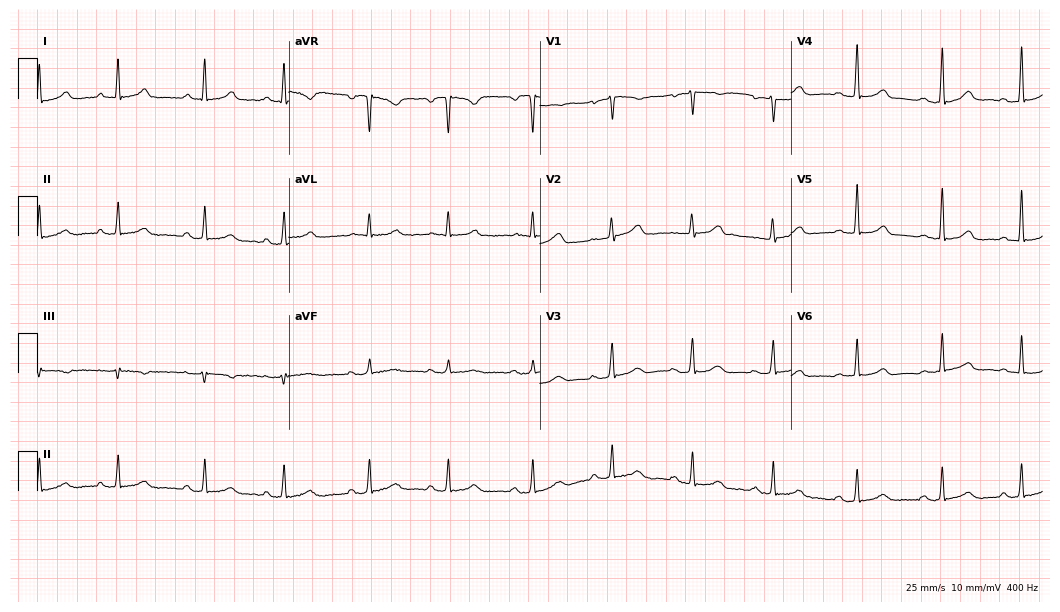
Resting 12-lead electrocardiogram. Patient: a woman, 57 years old. Read as a normal ECG.